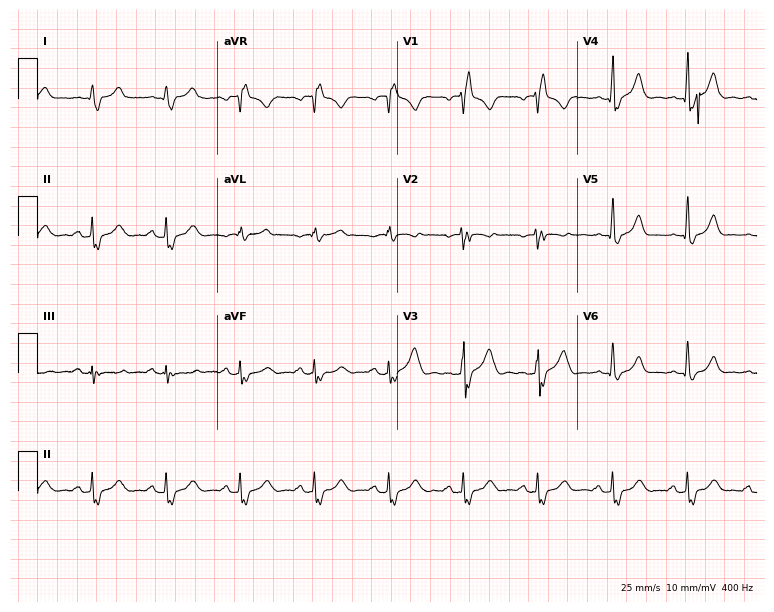
Resting 12-lead electrocardiogram. Patient: a male, 40 years old. The tracing shows right bundle branch block.